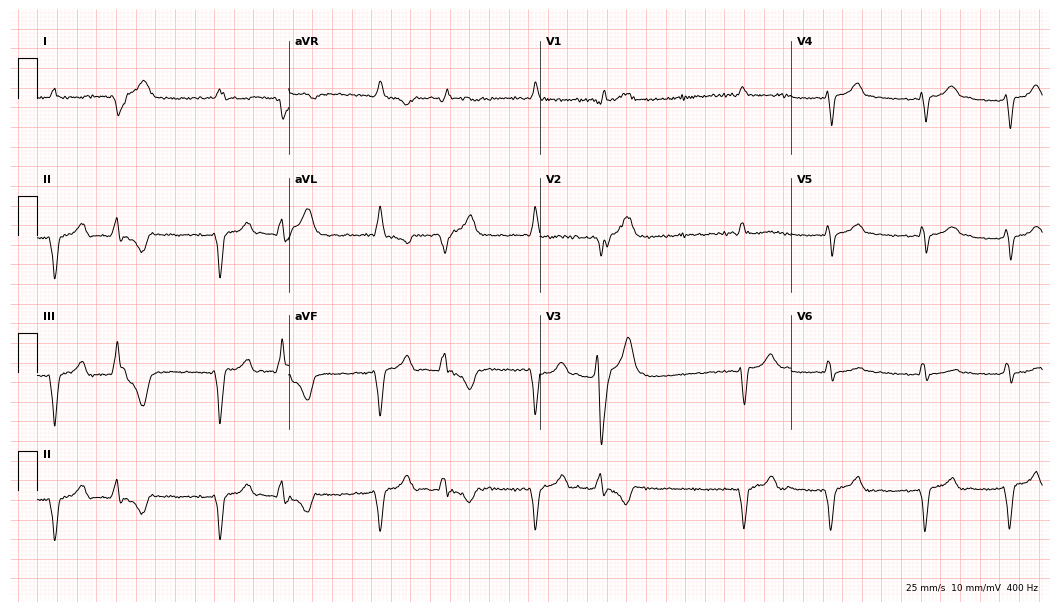
Electrocardiogram (10.2-second recording at 400 Hz), a 67-year-old male. Of the six screened findings (first-degree AV block, right bundle branch block, left bundle branch block, sinus bradycardia, atrial fibrillation, sinus tachycardia), none is recorded.